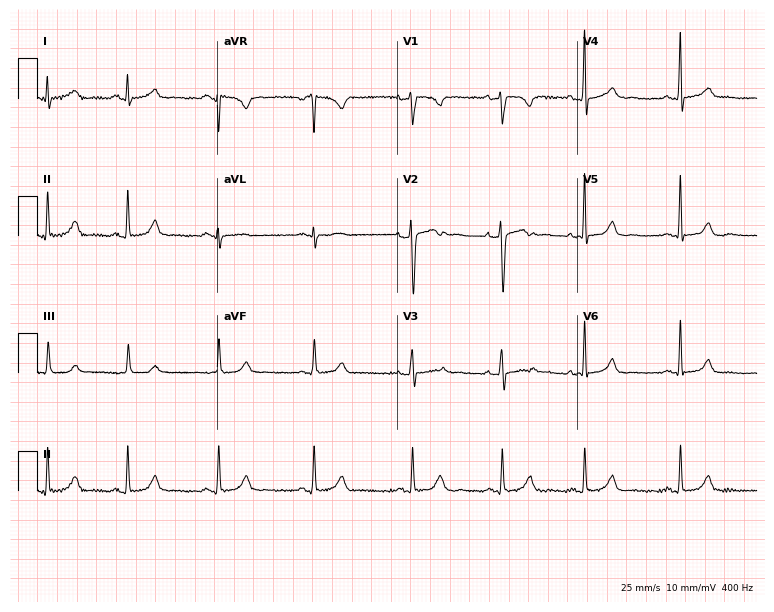
ECG — a female, 34 years old. Labelled as a normal ECG.